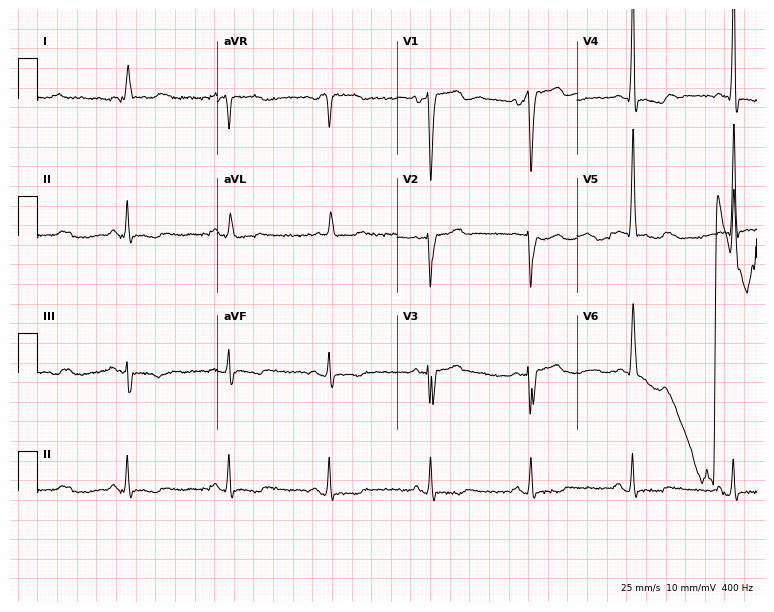
Resting 12-lead electrocardiogram (7.3-second recording at 400 Hz). Patient: a 77-year-old male. None of these six findings is recorded: first-degree AV block, right bundle branch block, left bundle branch block, sinus bradycardia, atrial fibrillation, sinus tachycardia. Other findings, if any, are not listed.